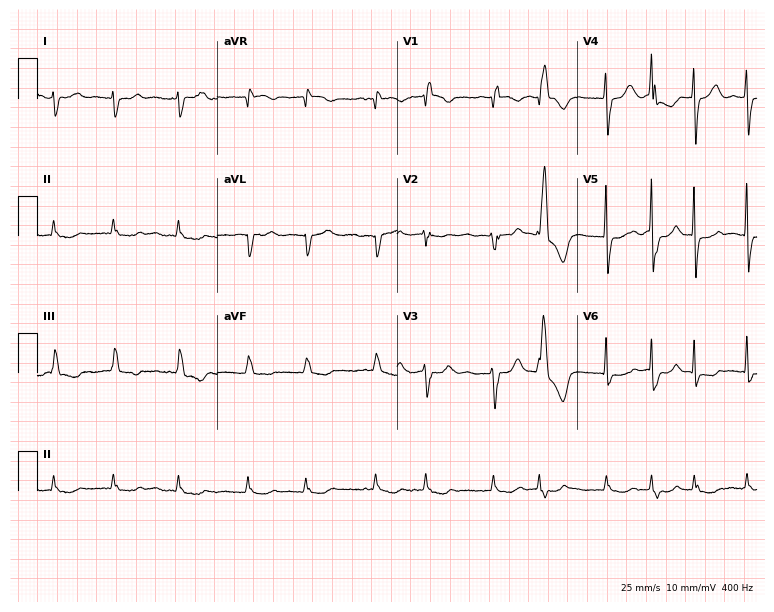
Resting 12-lead electrocardiogram (7.3-second recording at 400 Hz). Patient: a 79-year-old woman. The tracing shows atrial fibrillation.